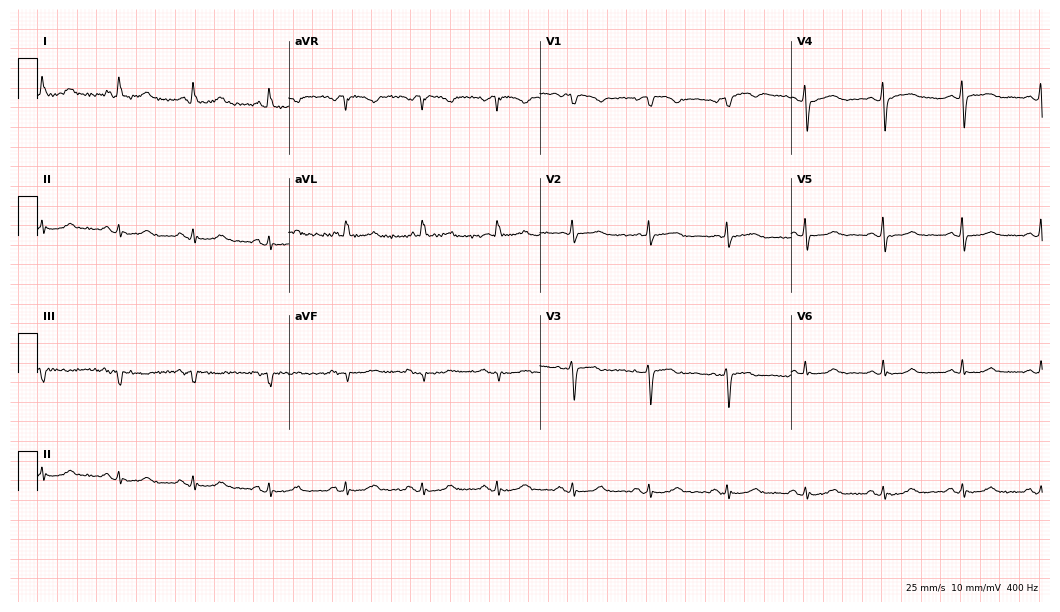
Electrocardiogram (10.2-second recording at 400 Hz), a woman, 73 years old. Overall reading on record: normal ECG.